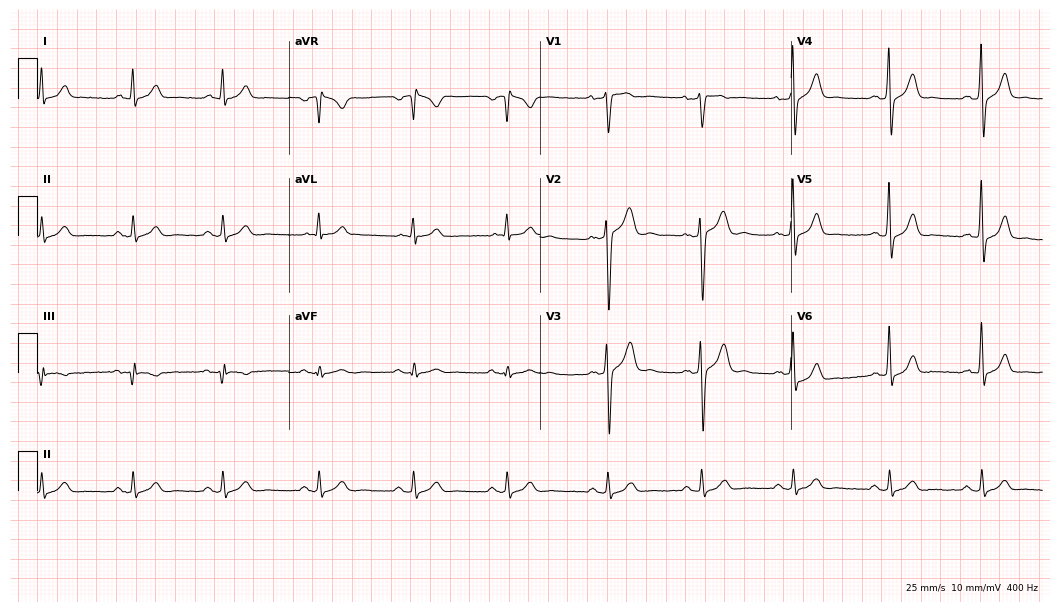
Electrocardiogram (10.2-second recording at 400 Hz), a male patient, 38 years old. Of the six screened findings (first-degree AV block, right bundle branch block (RBBB), left bundle branch block (LBBB), sinus bradycardia, atrial fibrillation (AF), sinus tachycardia), none is recorded.